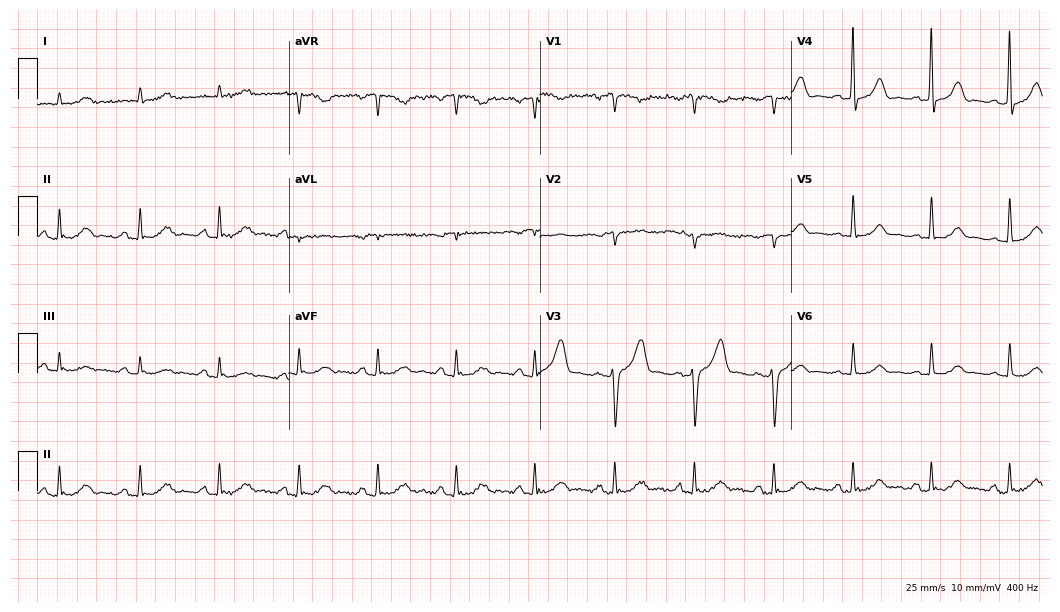
12-lead ECG from a 77-year-old man. Screened for six findings — first-degree AV block, right bundle branch block, left bundle branch block, sinus bradycardia, atrial fibrillation, sinus tachycardia — none is recorded. Only these six findings were labelled.